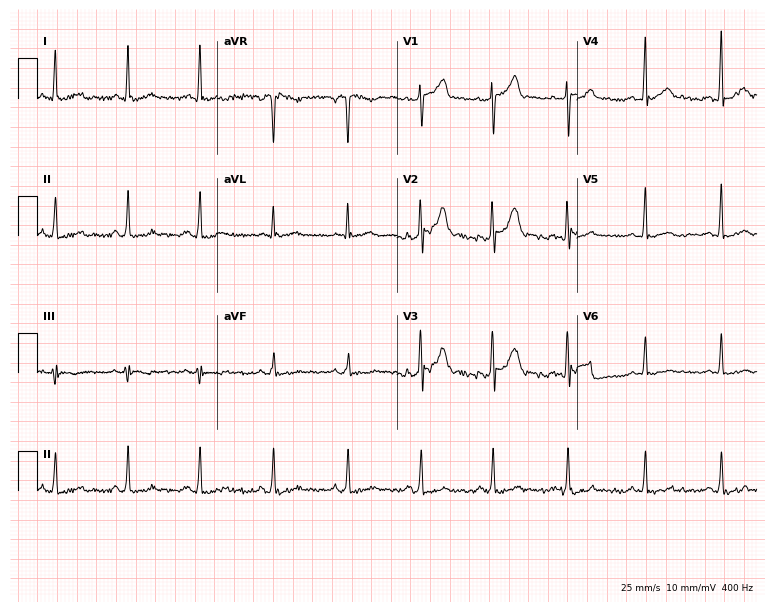
12-lead ECG from a 43-year-old male. Screened for six findings — first-degree AV block, right bundle branch block, left bundle branch block, sinus bradycardia, atrial fibrillation, sinus tachycardia — none is recorded. Only these six findings were labelled.